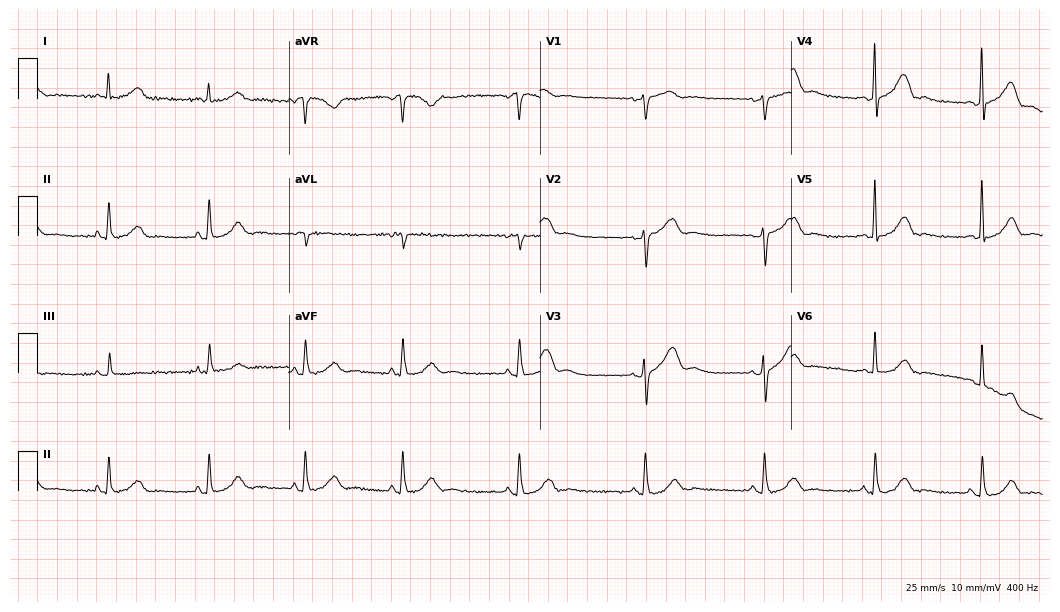
ECG — a 63-year-old woman. Screened for six findings — first-degree AV block, right bundle branch block, left bundle branch block, sinus bradycardia, atrial fibrillation, sinus tachycardia — none is recorded.